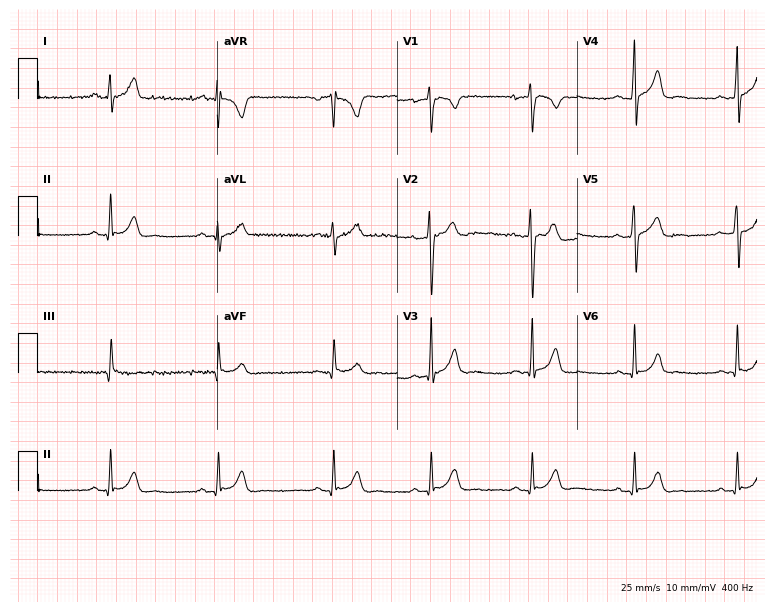
Electrocardiogram, a male patient, 29 years old. Overall reading on record: normal ECG.